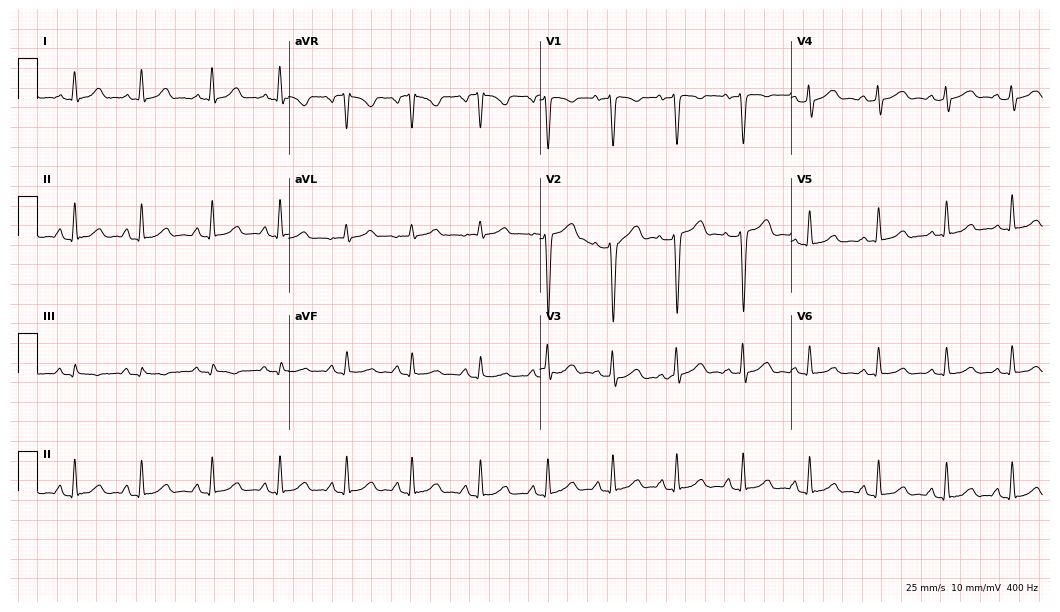
Standard 12-lead ECG recorded from a 29-year-old female patient. Read as a normal ECG.